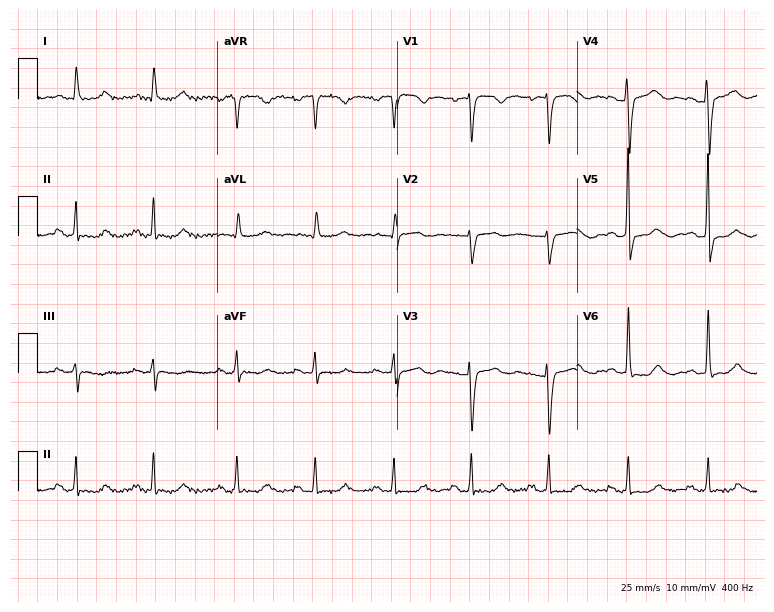
12-lead ECG from a 60-year-old female patient. No first-degree AV block, right bundle branch block (RBBB), left bundle branch block (LBBB), sinus bradycardia, atrial fibrillation (AF) or sinus tachycardia recorded for this tracing.